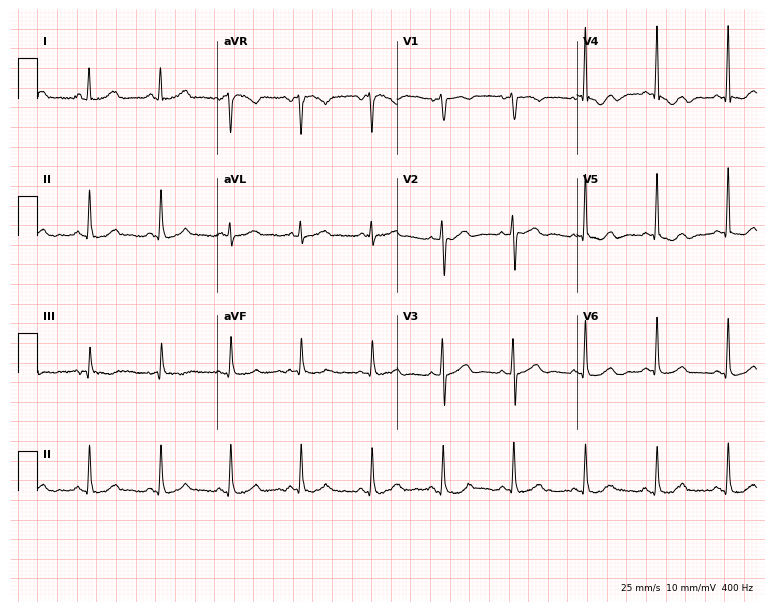
ECG — a female patient, 64 years old. Labelled as a normal ECG.